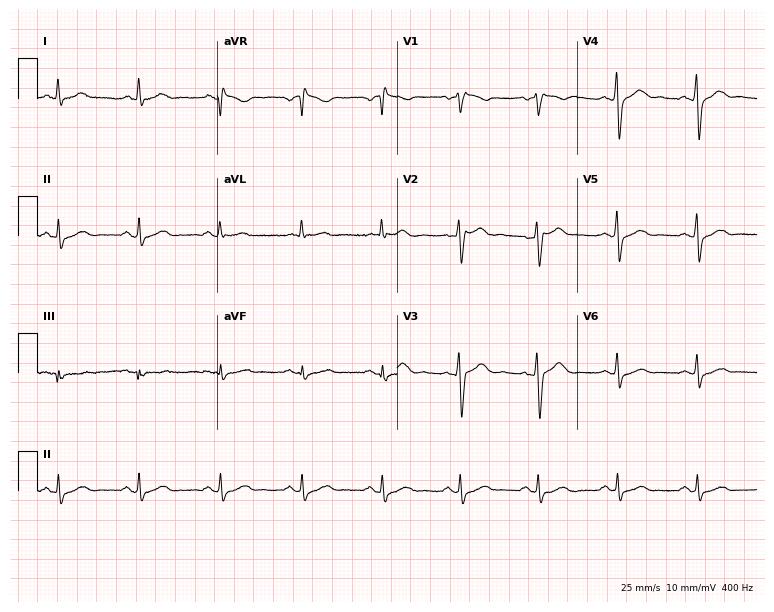
12-lead ECG from a 51-year-old female (7.3-second recording at 400 Hz). Recorded interpretation: within normal limits.